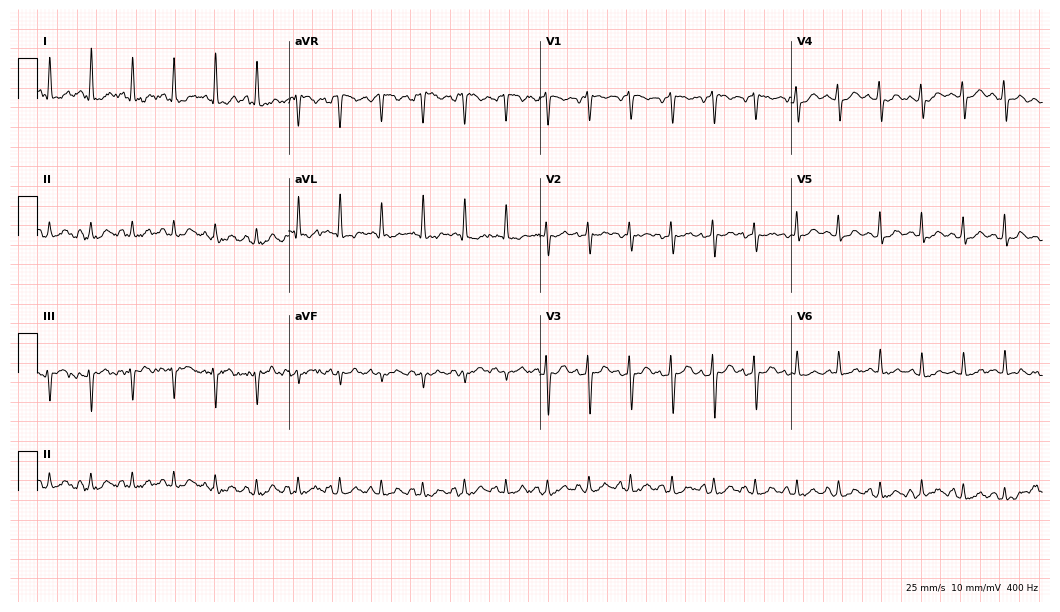
12-lead ECG from a female, 31 years old. Findings include sinus tachycardia (a sinus rate of 100 beats per minute or more).